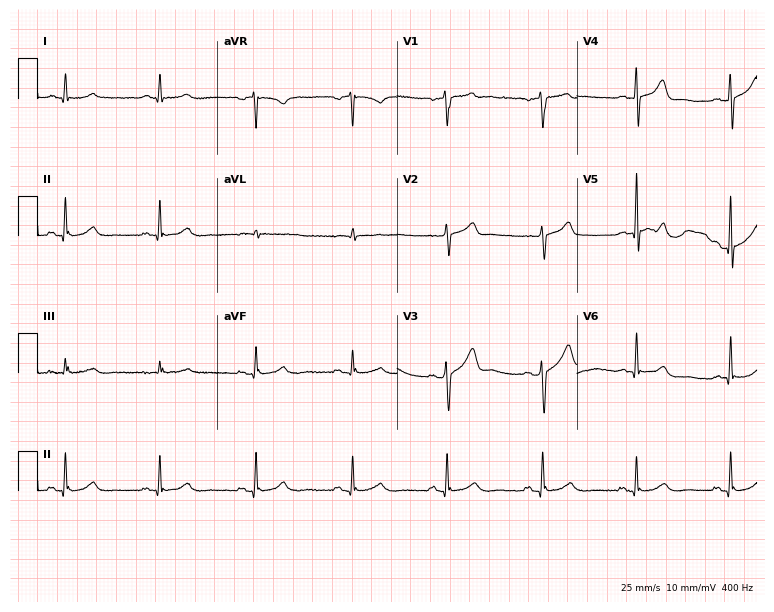
12-lead ECG (7.3-second recording at 400 Hz) from a 60-year-old man. Labelled as a normal ECG.